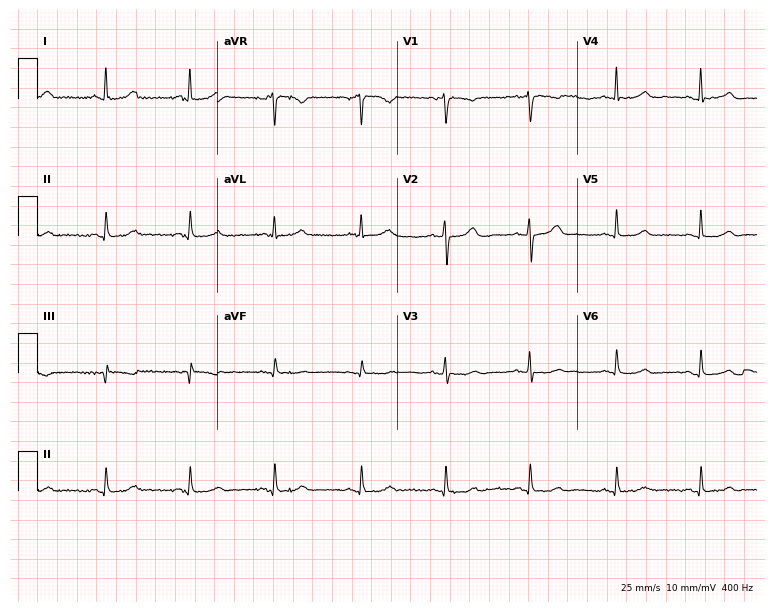
12-lead ECG from a female patient, 63 years old. Recorded interpretation: within normal limits.